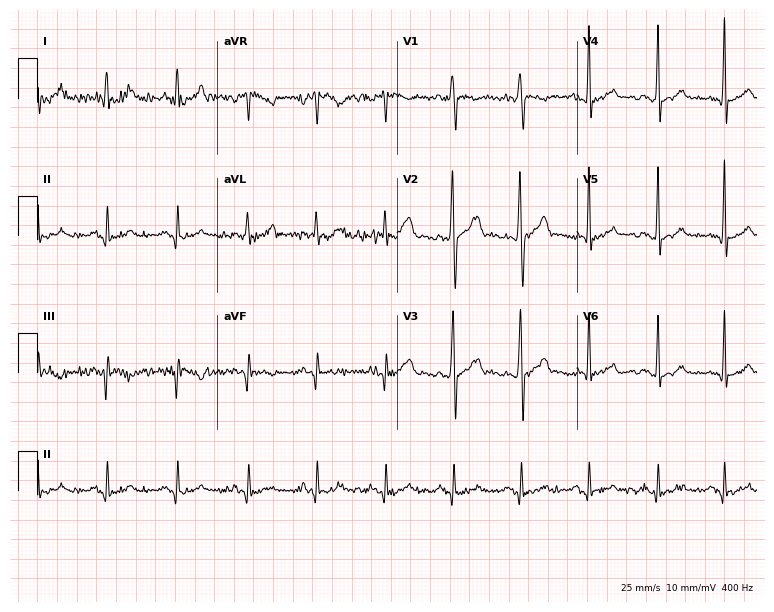
Electrocardiogram, a male, 21 years old. Overall reading on record: normal ECG.